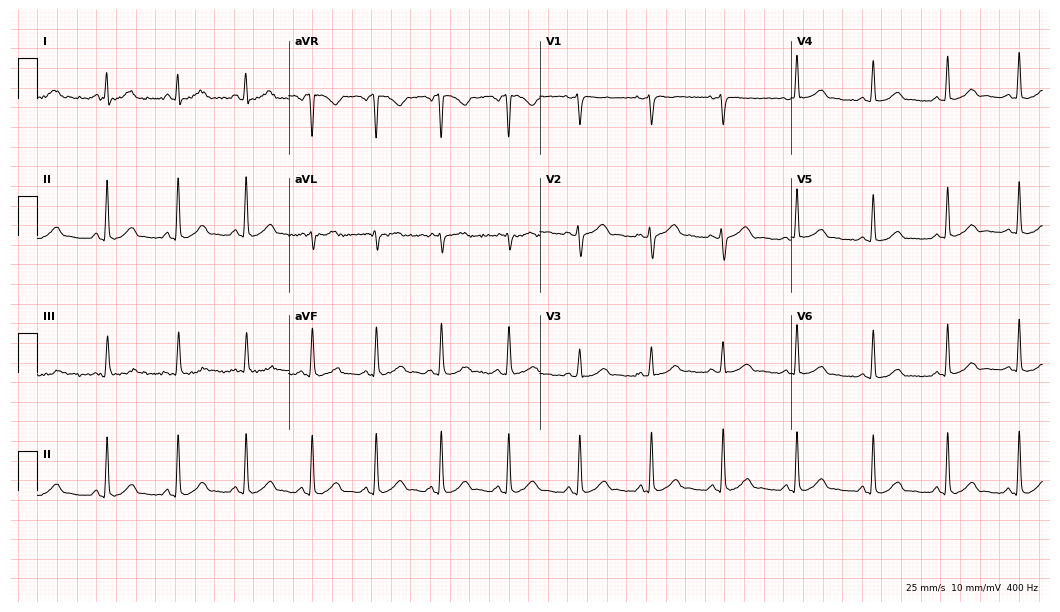
Standard 12-lead ECG recorded from a 48-year-old female (10.2-second recording at 400 Hz). None of these six findings is recorded: first-degree AV block, right bundle branch block, left bundle branch block, sinus bradycardia, atrial fibrillation, sinus tachycardia.